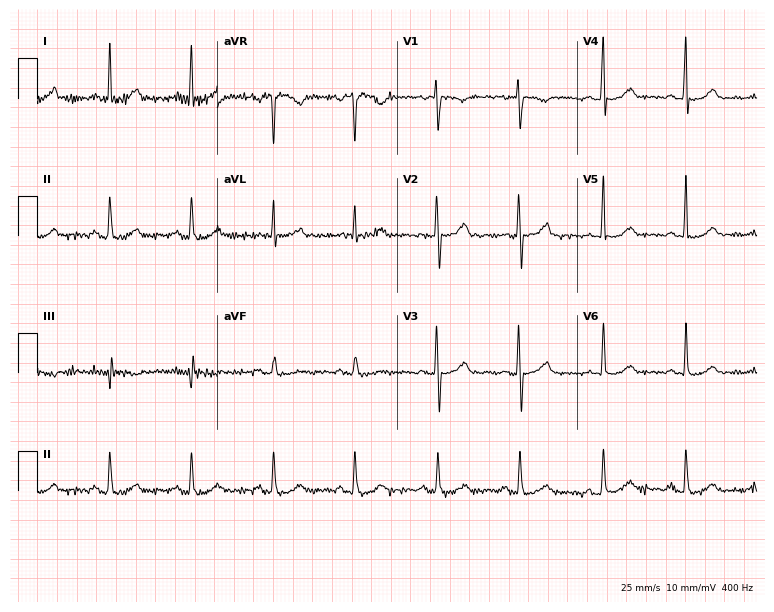
12-lead ECG from a 46-year-old woman (7.3-second recording at 400 Hz). Recorded interpretation: within normal limits.